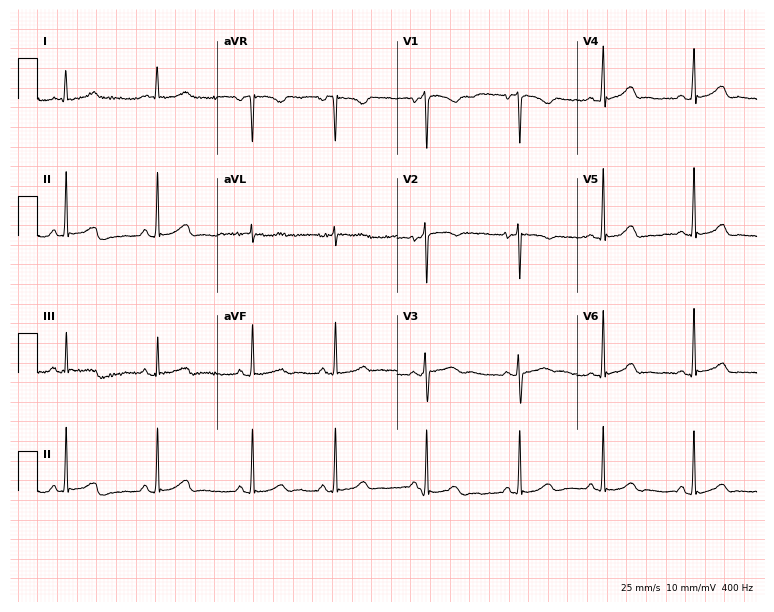
Resting 12-lead electrocardiogram (7.3-second recording at 400 Hz). Patient: a female, 21 years old. Read as a normal ECG.